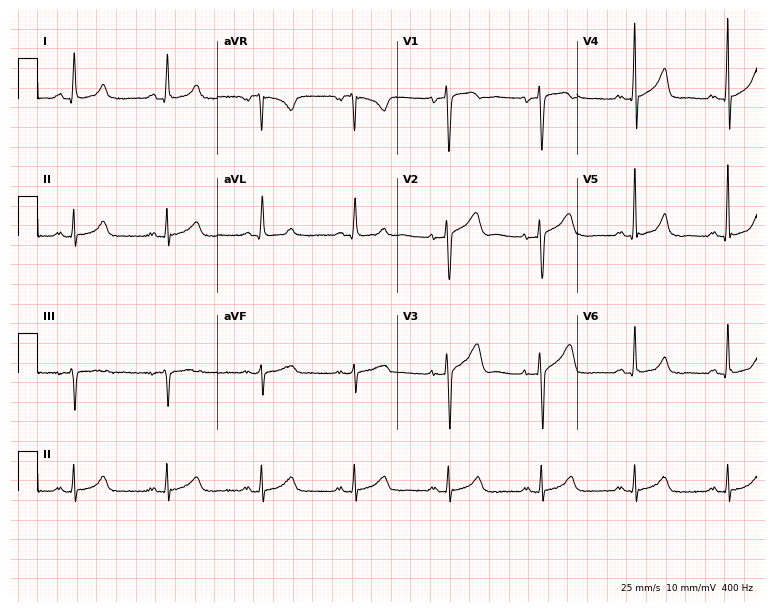
12-lead ECG from a woman, 57 years old (7.3-second recording at 400 Hz). No first-degree AV block, right bundle branch block (RBBB), left bundle branch block (LBBB), sinus bradycardia, atrial fibrillation (AF) or sinus tachycardia recorded for this tracing. Findings outside these six are not listed.